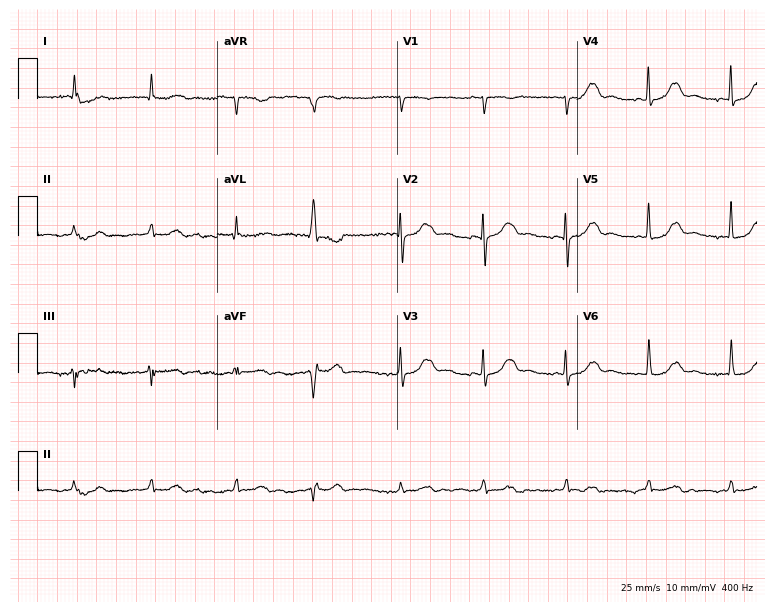
12-lead ECG from a woman, 85 years old (7.3-second recording at 400 Hz). No first-degree AV block, right bundle branch block, left bundle branch block, sinus bradycardia, atrial fibrillation or sinus tachycardia recorded for this tracing. Other findings, if any, are not listed.